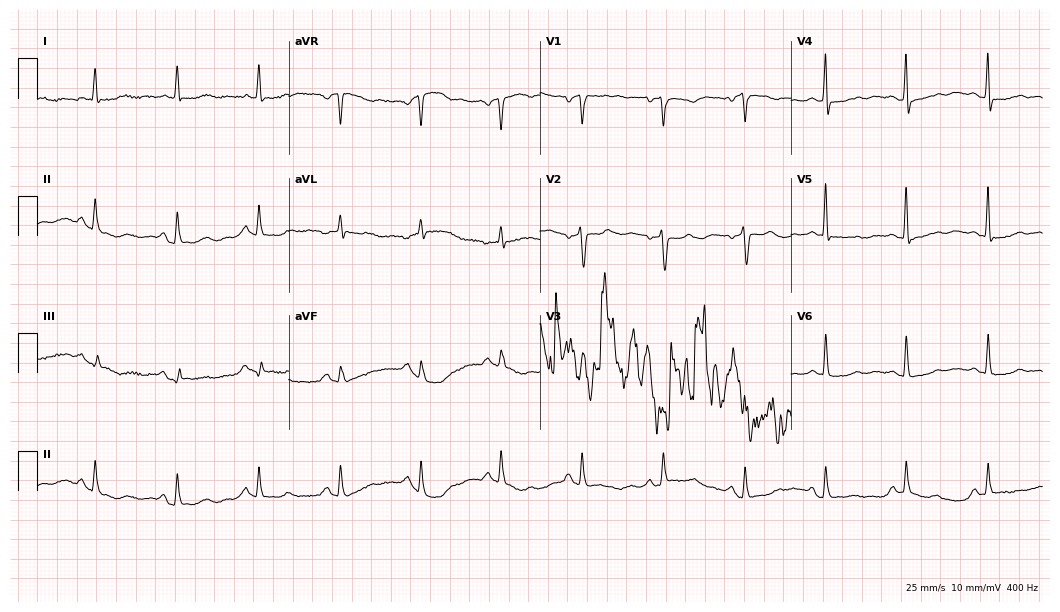
12-lead ECG from an 81-year-old woman. No first-degree AV block, right bundle branch block (RBBB), left bundle branch block (LBBB), sinus bradycardia, atrial fibrillation (AF) or sinus tachycardia recorded for this tracing. Other findings, if any, are not listed.